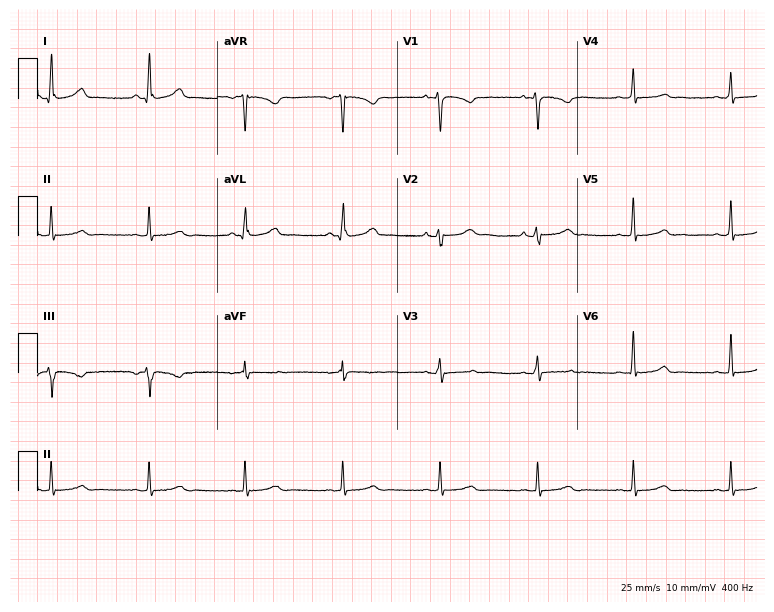
ECG (7.3-second recording at 400 Hz) — a woman, 39 years old. Labelled as a normal ECG.